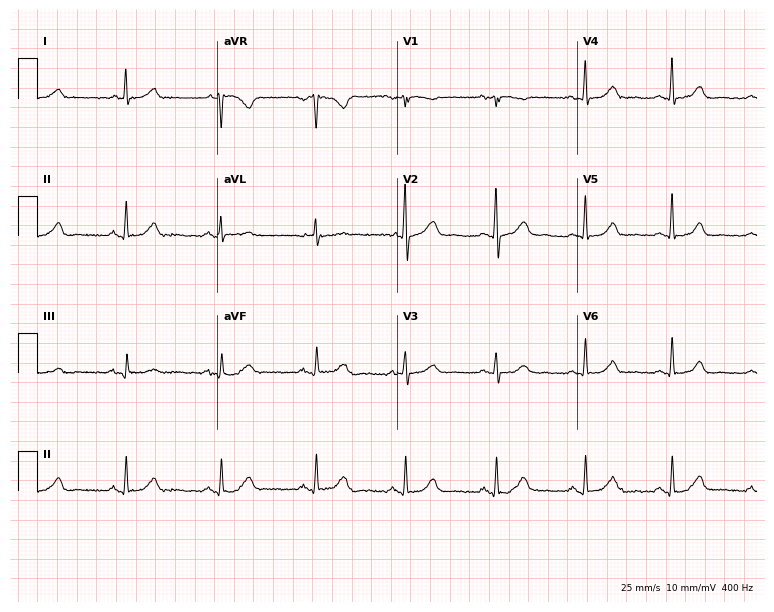
Electrocardiogram, a 52-year-old female. Overall reading on record: normal ECG.